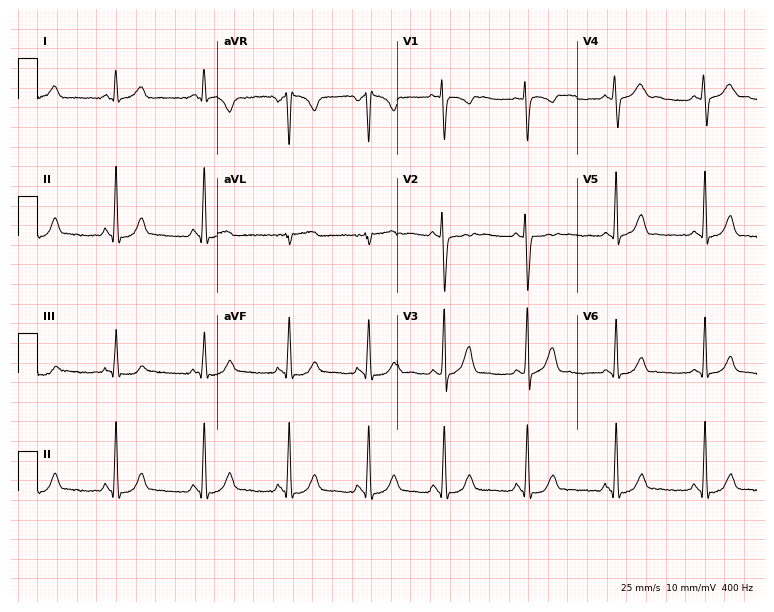
Resting 12-lead electrocardiogram. Patient: a 23-year-old female. Read as a normal ECG.